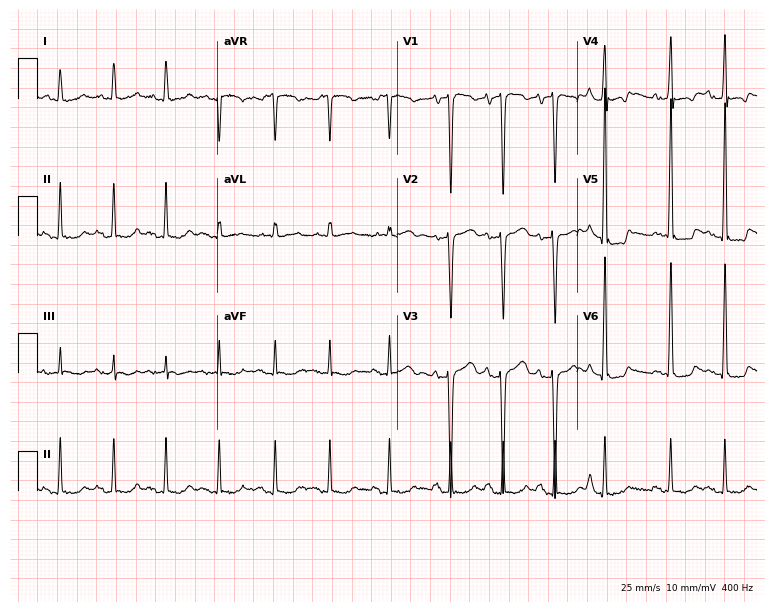
Electrocardiogram, a 71-year-old female patient. Of the six screened findings (first-degree AV block, right bundle branch block (RBBB), left bundle branch block (LBBB), sinus bradycardia, atrial fibrillation (AF), sinus tachycardia), none is recorded. Findings outside these six are not listed.